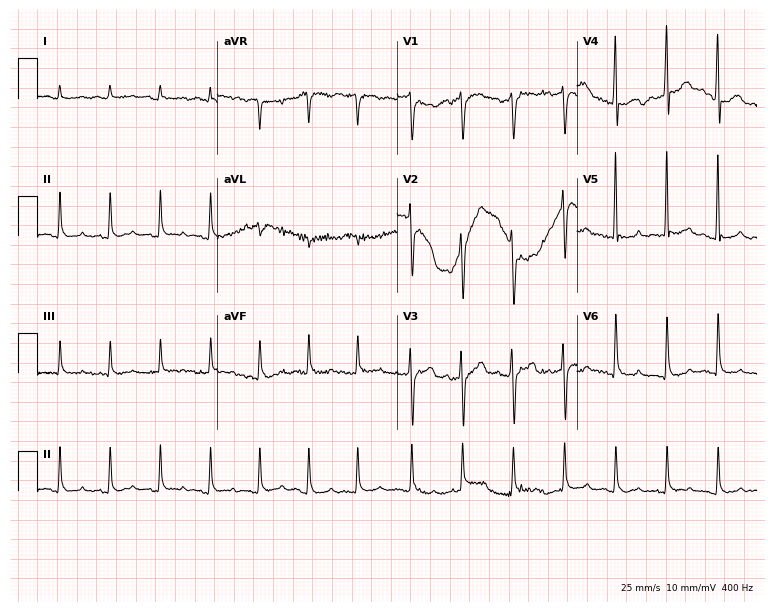
Resting 12-lead electrocardiogram. Patient: a female, 84 years old. The tracing shows sinus tachycardia (a sinus rate of 100 beats per minute or more).